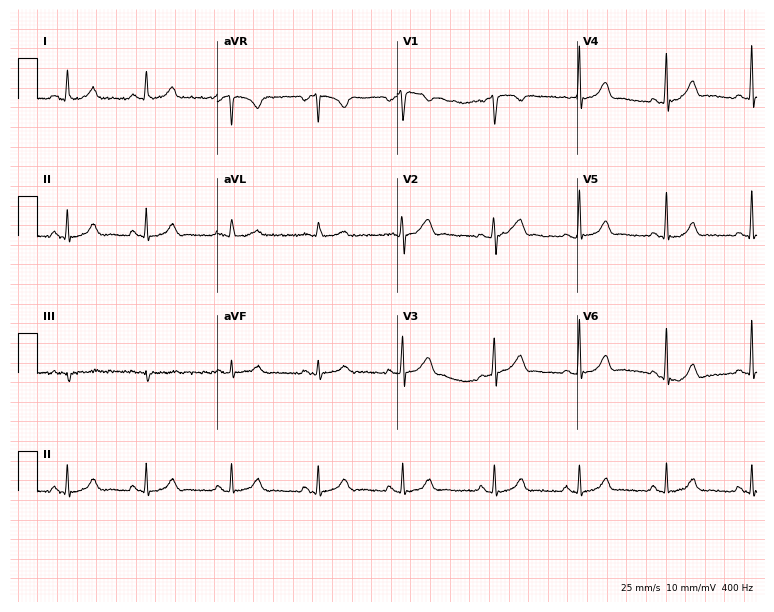
Resting 12-lead electrocardiogram (7.3-second recording at 400 Hz). Patient: a woman, 24 years old. Read as a normal ECG.